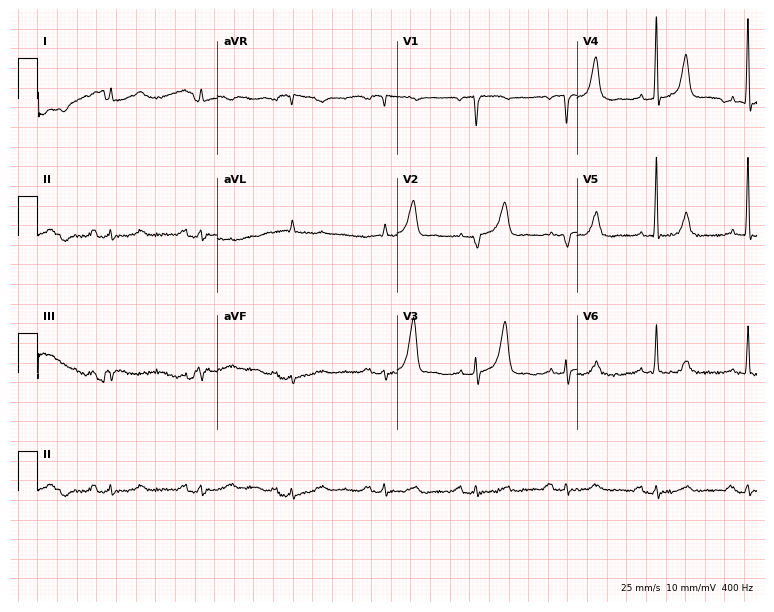
Standard 12-lead ECG recorded from a man, 76 years old. Read as a normal ECG.